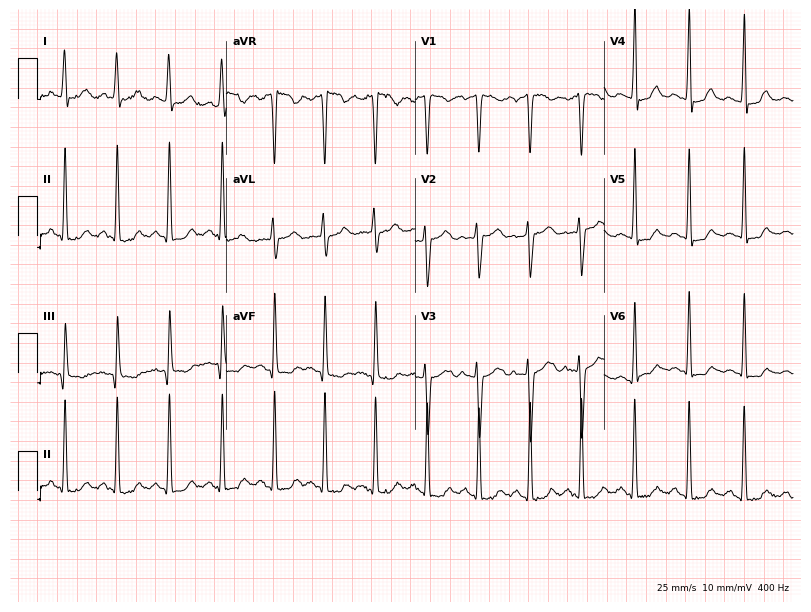
12-lead ECG from a female patient, 22 years old. Findings include sinus tachycardia (a sinus rate of 100 beats per minute or more).